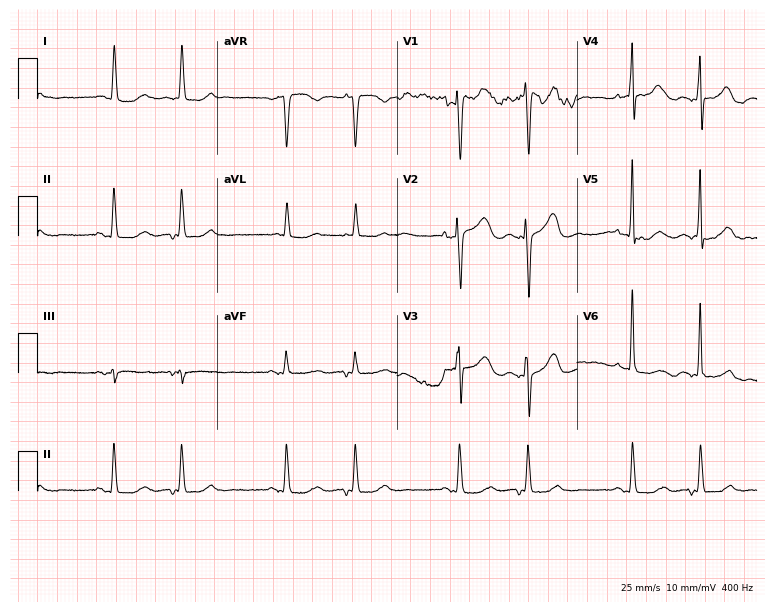
Standard 12-lead ECG recorded from an 83-year-old female patient (7.3-second recording at 400 Hz). None of these six findings is recorded: first-degree AV block, right bundle branch block, left bundle branch block, sinus bradycardia, atrial fibrillation, sinus tachycardia. Findings outside these six are not listed.